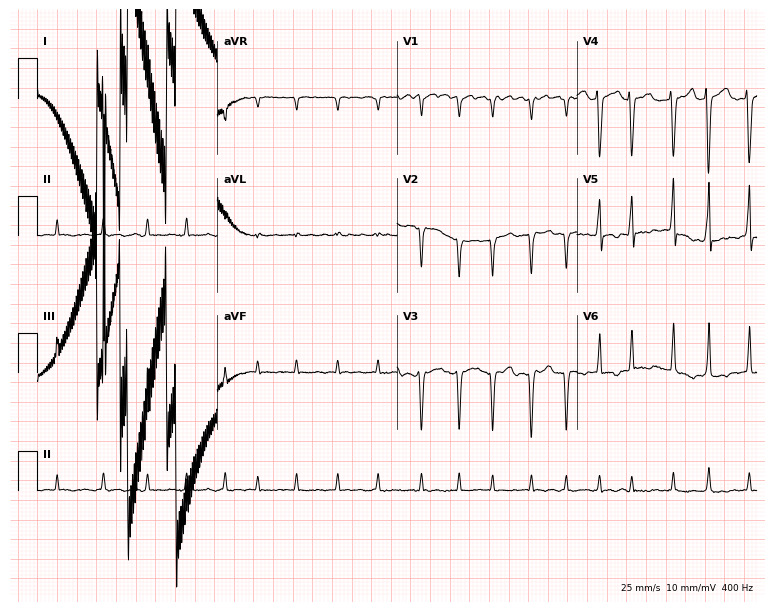
Electrocardiogram, a 42-year-old man. Interpretation includes atrial fibrillation.